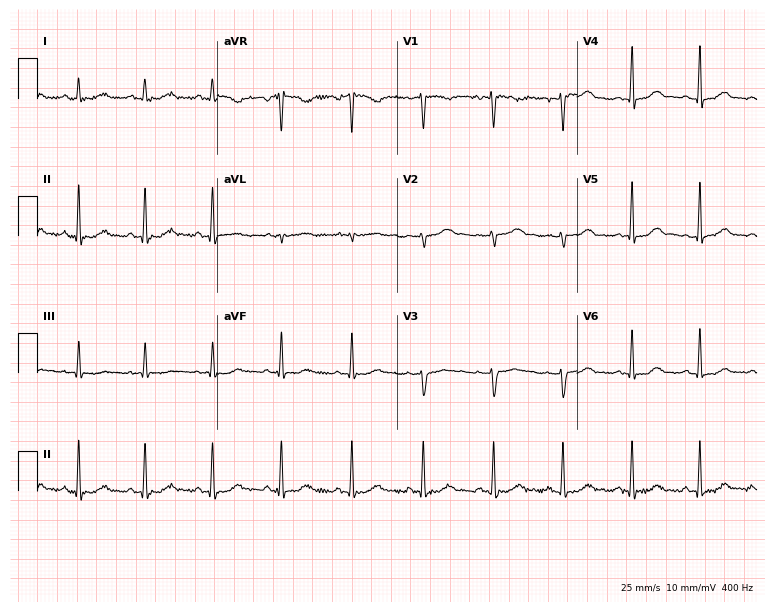
ECG (7.3-second recording at 400 Hz) — a woman, 27 years old. Screened for six findings — first-degree AV block, right bundle branch block (RBBB), left bundle branch block (LBBB), sinus bradycardia, atrial fibrillation (AF), sinus tachycardia — none is recorded. Only these six findings were labelled.